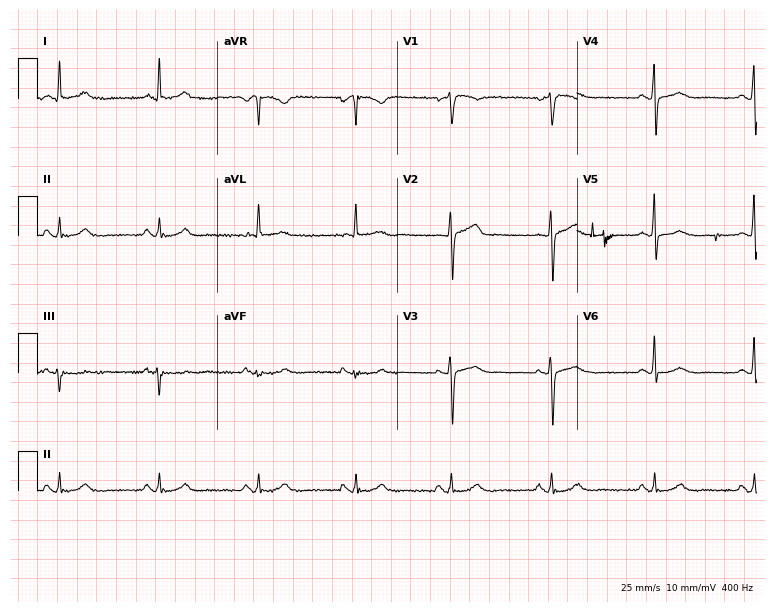
Resting 12-lead electrocardiogram. Patient: a female, 51 years old. Read as a normal ECG.